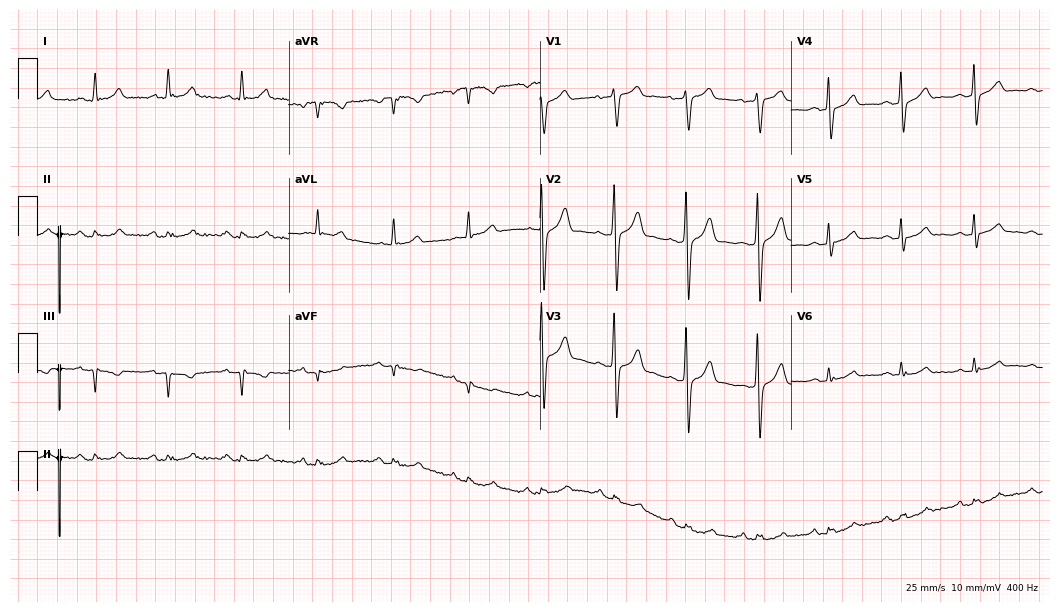
12-lead ECG from a male, 59 years old (10.2-second recording at 400 Hz). No first-degree AV block, right bundle branch block, left bundle branch block, sinus bradycardia, atrial fibrillation or sinus tachycardia recorded for this tracing. Other findings, if any, are not listed.